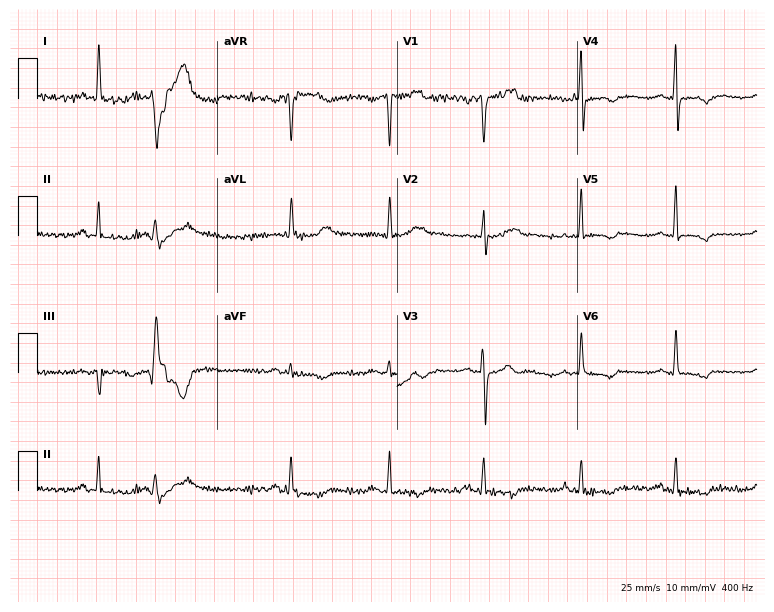
Resting 12-lead electrocardiogram. Patient: a 68-year-old male. None of these six findings is recorded: first-degree AV block, right bundle branch block, left bundle branch block, sinus bradycardia, atrial fibrillation, sinus tachycardia.